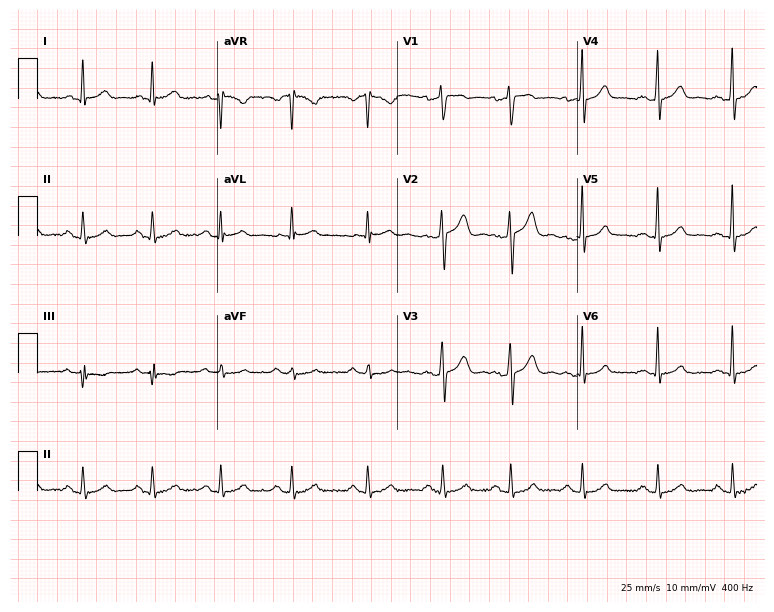
Electrocardiogram, a 30-year-old male. Of the six screened findings (first-degree AV block, right bundle branch block, left bundle branch block, sinus bradycardia, atrial fibrillation, sinus tachycardia), none is recorded. Only these six findings were labelled.